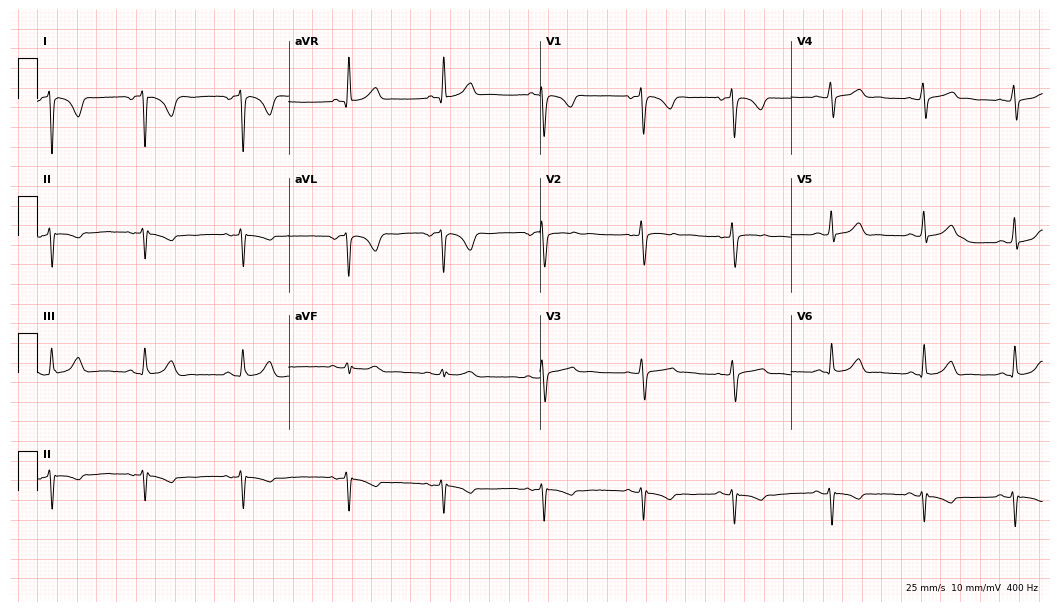
12-lead ECG from a 26-year-old female patient. No first-degree AV block, right bundle branch block (RBBB), left bundle branch block (LBBB), sinus bradycardia, atrial fibrillation (AF) or sinus tachycardia recorded for this tracing.